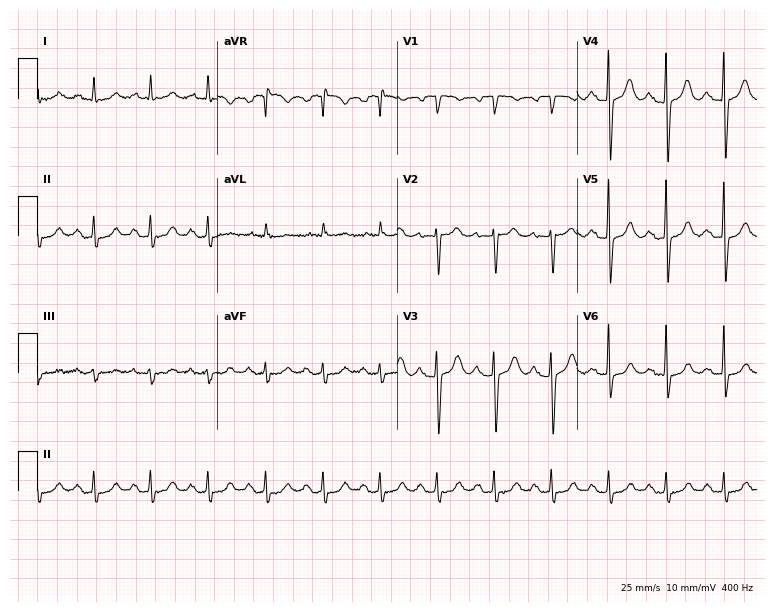
Resting 12-lead electrocardiogram. Patient: a female, 71 years old. The tracing shows sinus tachycardia (a sinus rate of 100 beats per minute or more).